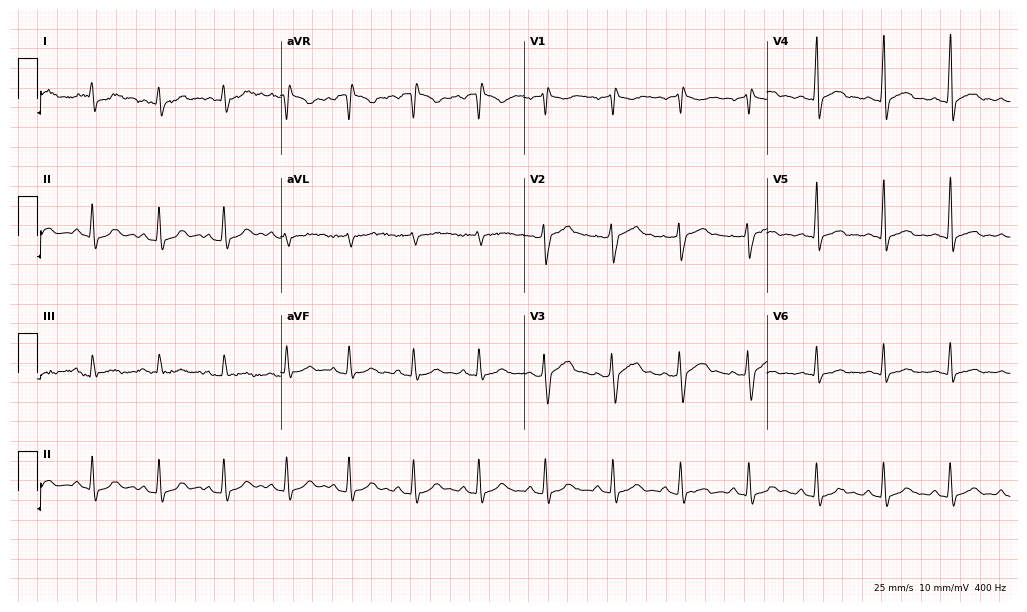
Resting 12-lead electrocardiogram. Patient: an 81-year-old man. None of these six findings is recorded: first-degree AV block, right bundle branch block, left bundle branch block, sinus bradycardia, atrial fibrillation, sinus tachycardia.